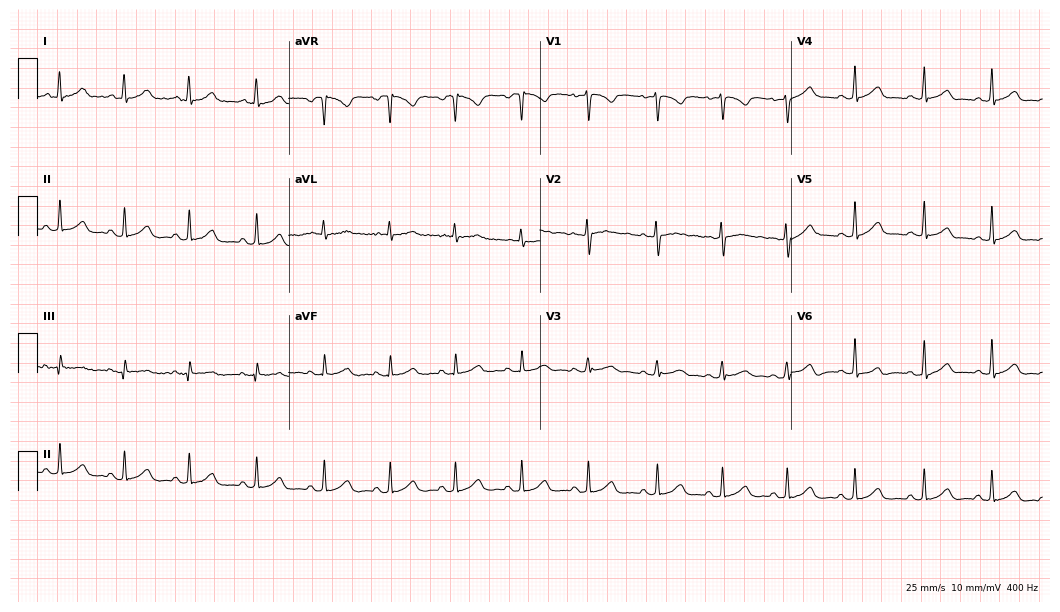
Resting 12-lead electrocardiogram (10.2-second recording at 400 Hz). Patient: a 30-year-old female. Read as a normal ECG.